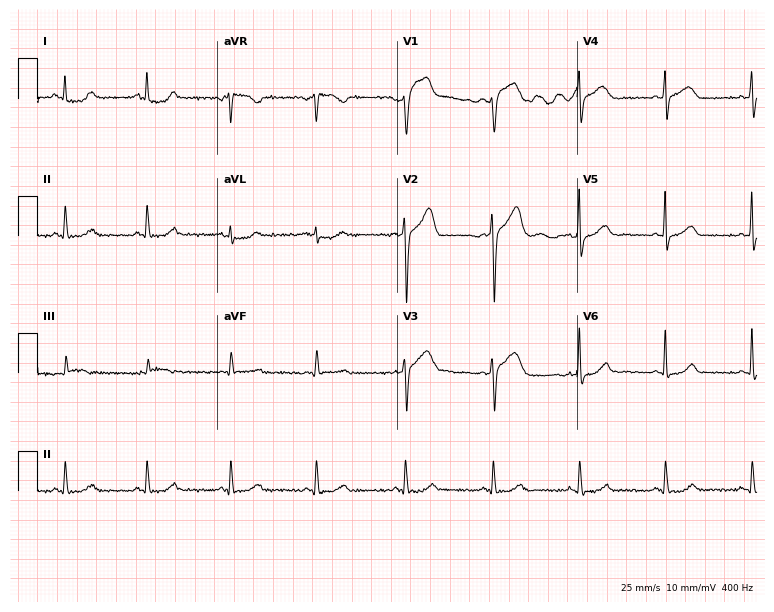
ECG — a female patient, 47 years old. Screened for six findings — first-degree AV block, right bundle branch block (RBBB), left bundle branch block (LBBB), sinus bradycardia, atrial fibrillation (AF), sinus tachycardia — none is recorded.